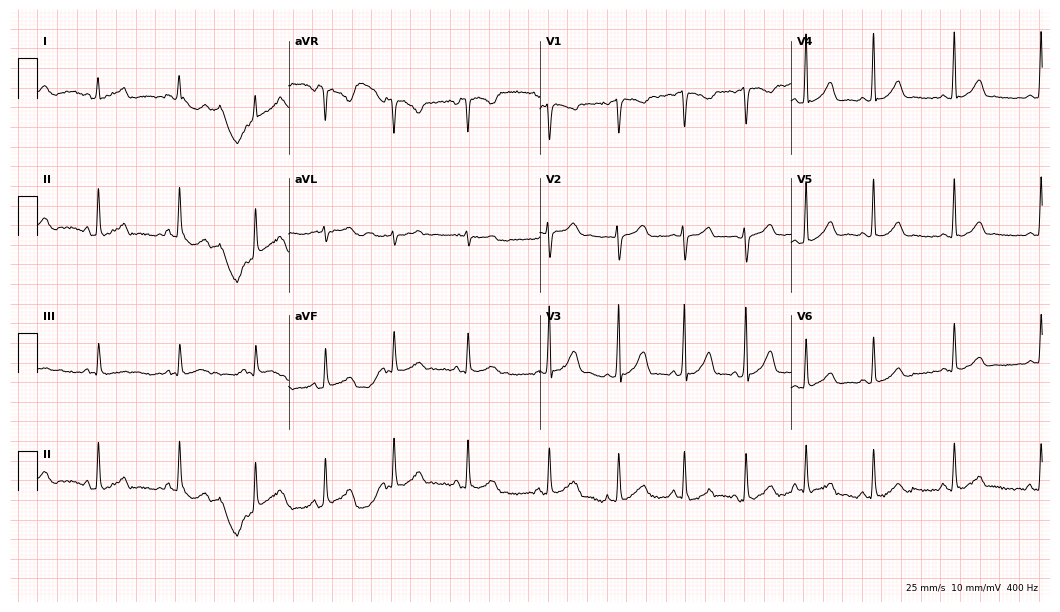
12-lead ECG (10.2-second recording at 400 Hz) from a woman, 27 years old. Screened for six findings — first-degree AV block, right bundle branch block (RBBB), left bundle branch block (LBBB), sinus bradycardia, atrial fibrillation (AF), sinus tachycardia — none is recorded. Other findings, if any, are not listed.